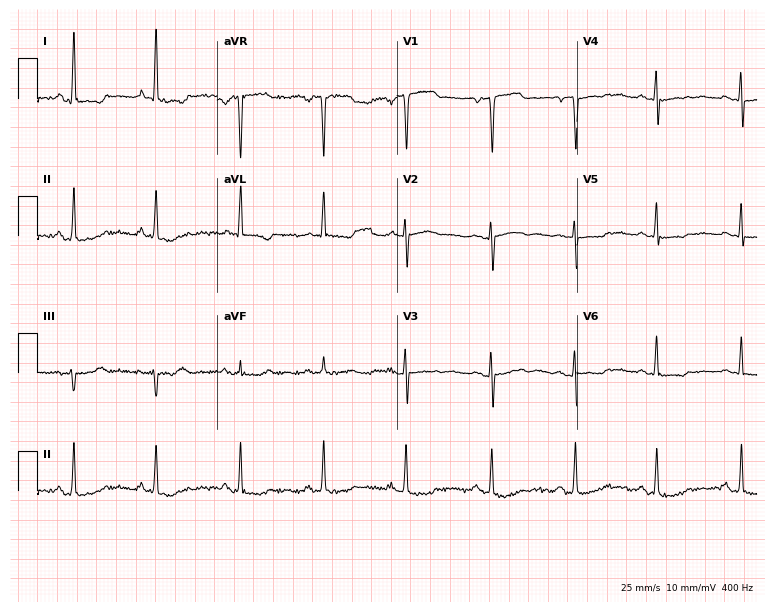
12-lead ECG from a female patient, 53 years old. No first-degree AV block, right bundle branch block, left bundle branch block, sinus bradycardia, atrial fibrillation or sinus tachycardia recorded for this tracing. Only these six findings were labelled.